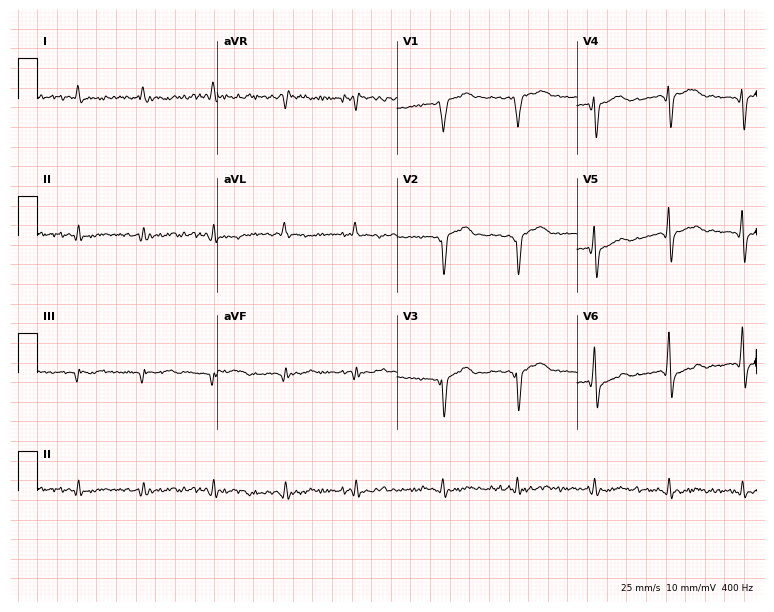
ECG — an 83-year-old male patient. Screened for six findings — first-degree AV block, right bundle branch block, left bundle branch block, sinus bradycardia, atrial fibrillation, sinus tachycardia — none is recorded.